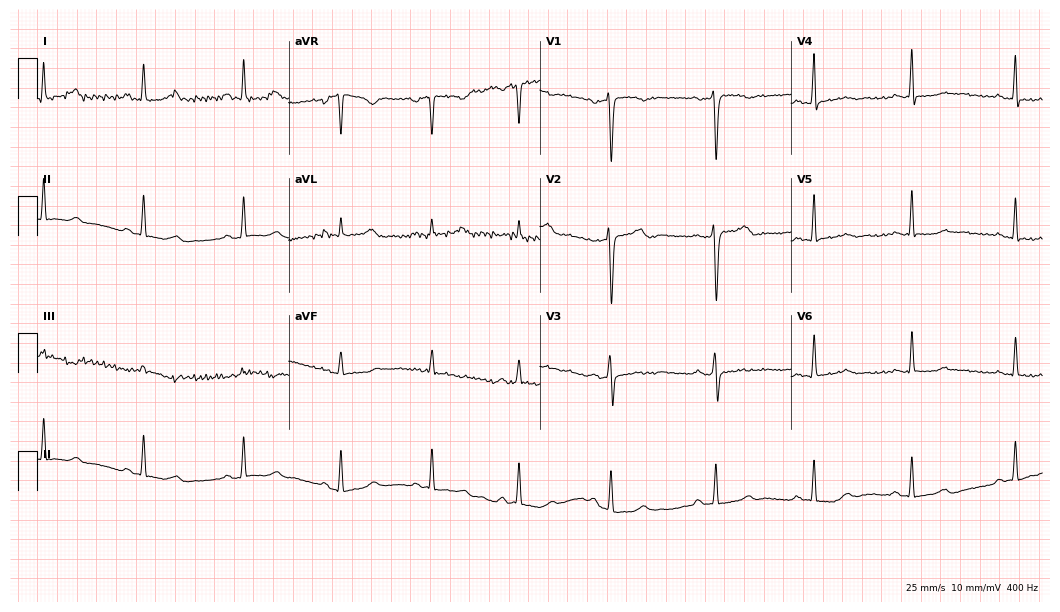
ECG — a woman, 41 years old. Labelled as a normal ECG.